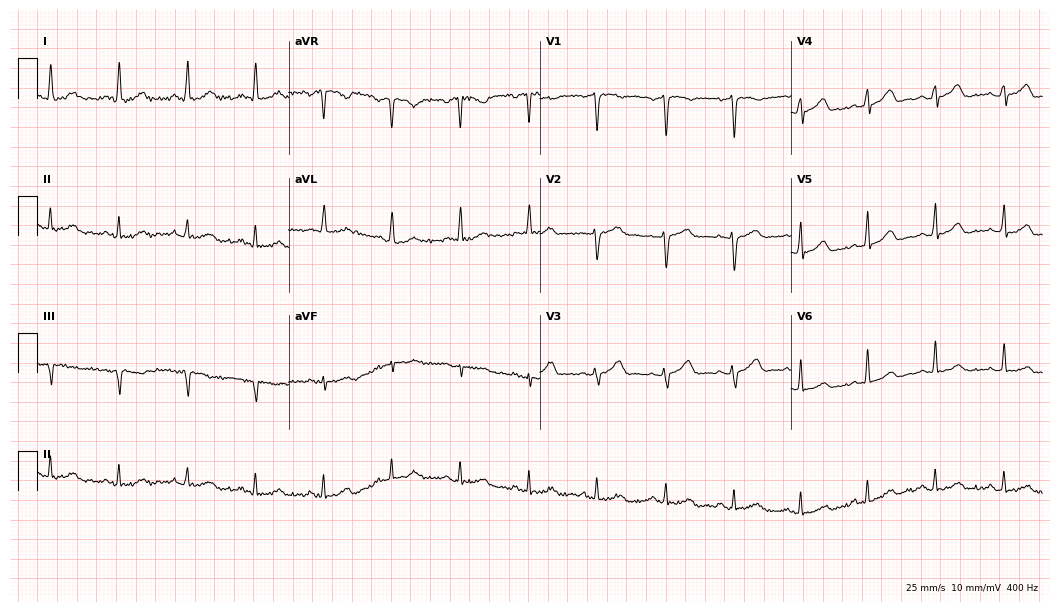
ECG — a woman, 58 years old. Labelled as a normal ECG.